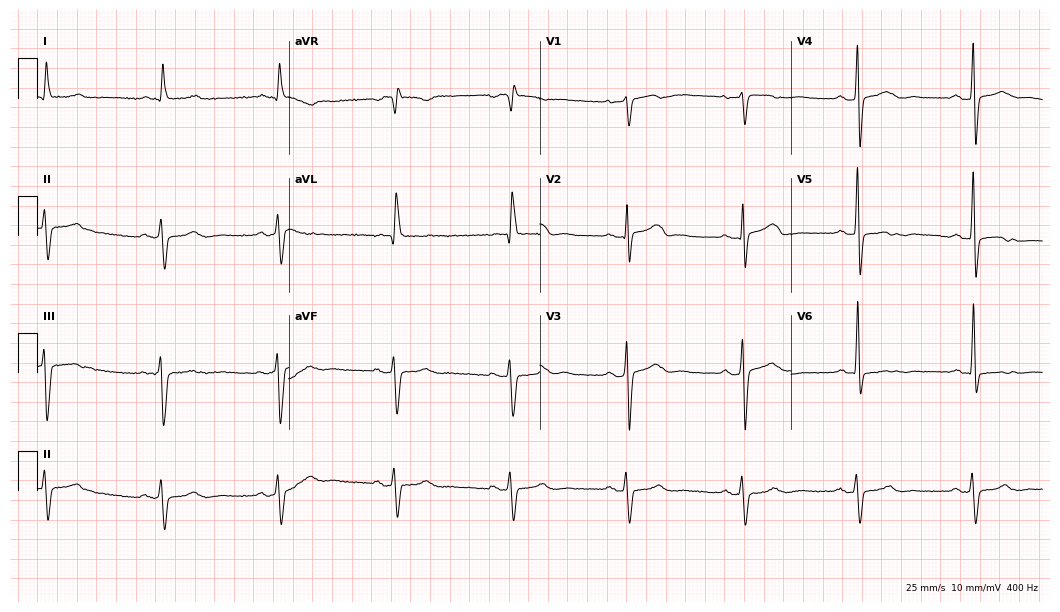
Resting 12-lead electrocardiogram. Patient: an 84-year-old male. The tracing shows sinus bradycardia (a sinus rate of 50 beats per minute or less).